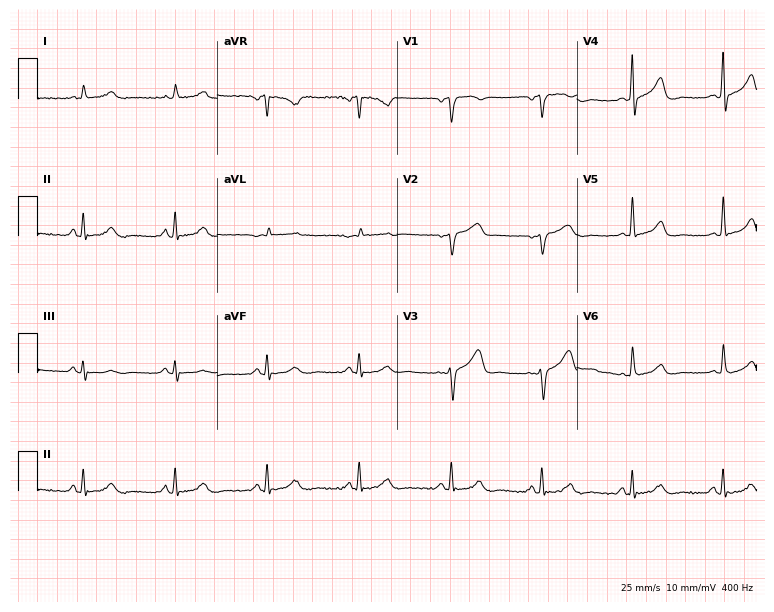
Resting 12-lead electrocardiogram (7.3-second recording at 400 Hz). Patient: a male, 73 years old. None of these six findings is recorded: first-degree AV block, right bundle branch block, left bundle branch block, sinus bradycardia, atrial fibrillation, sinus tachycardia. Only these six findings were labelled.